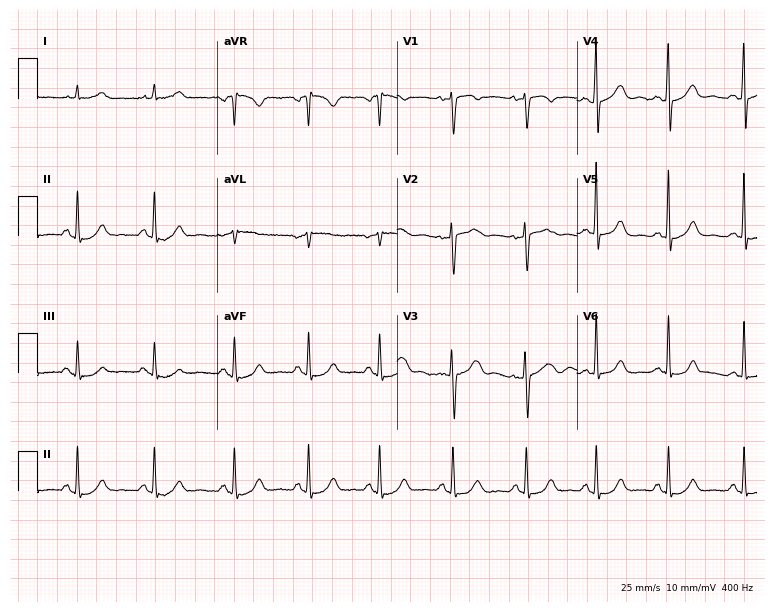
12-lead ECG from a 36-year-old female. Labelled as a normal ECG.